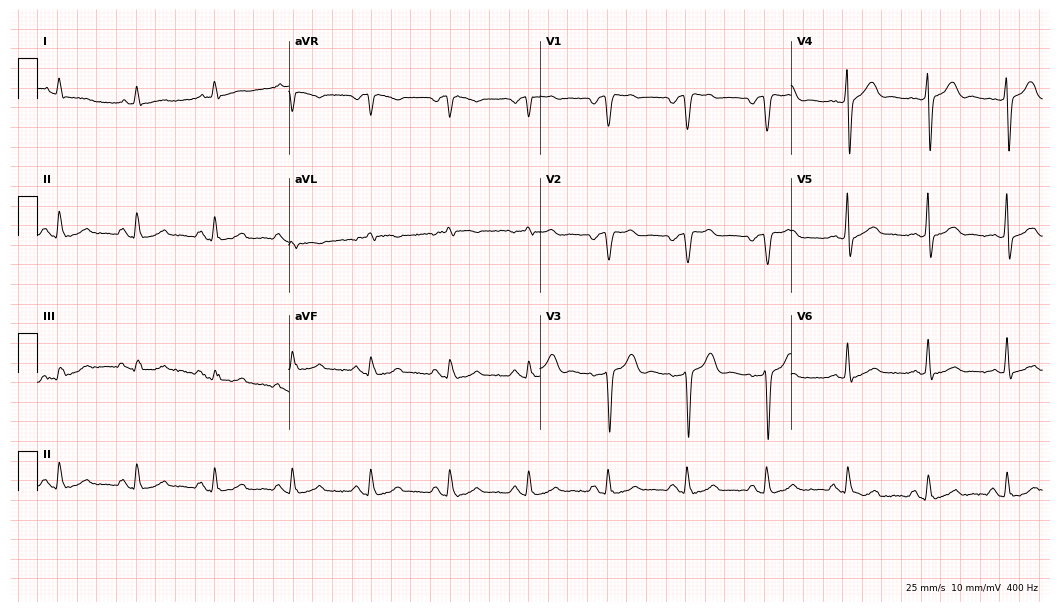
ECG (10.2-second recording at 400 Hz) — a man, 62 years old. Screened for six findings — first-degree AV block, right bundle branch block (RBBB), left bundle branch block (LBBB), sinus bradycardia, atrial fibrillation (AF), sinus tachycardia — none is recorded.